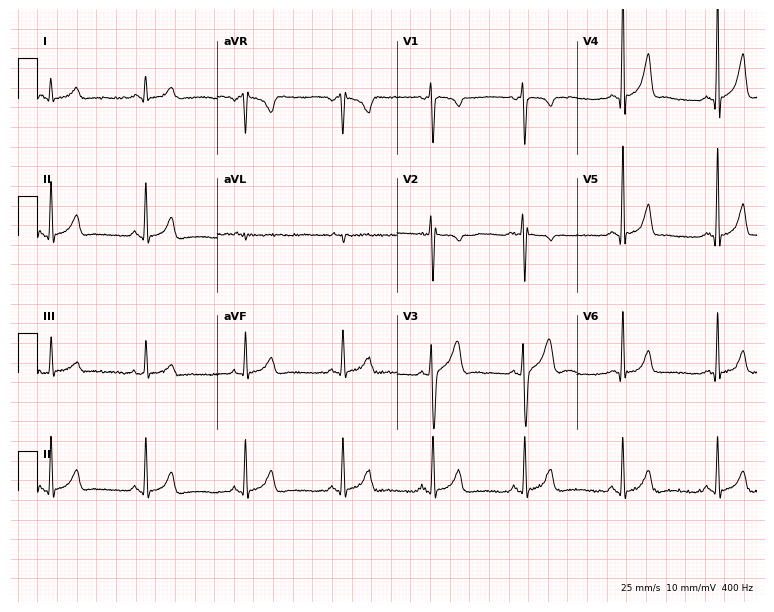
ECG — a male patient, 17 years old. Screened for six findings — first-degree AV block, right bundle branch block, left bundle branch block, sinus bradycardia, atrial fibrillation, sinus tachycardia — none is recorded. Only these six findings were labelled.